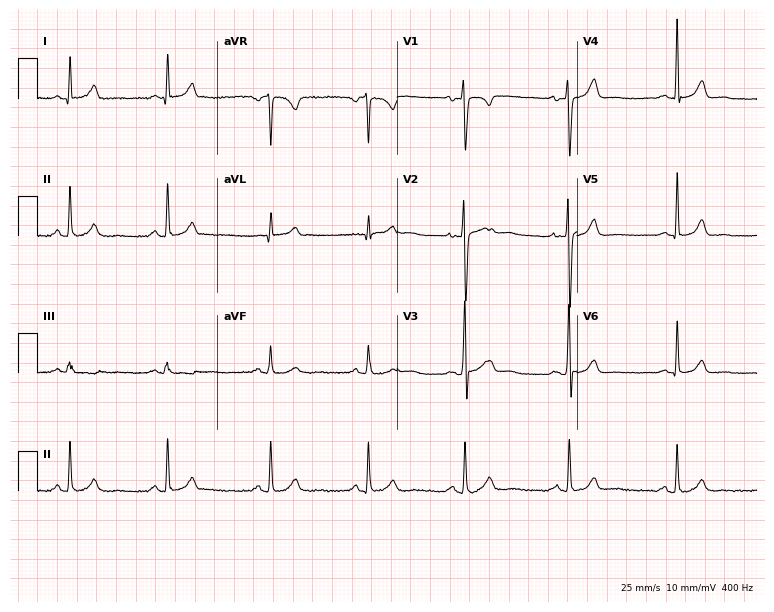
12-lead ECG from a male patient, 36 years old (7.3-second recording at 400 Hz). No first-degree AV block, right bundle branch block, left bundle branch block, sinus bradycardia, atrial fibrillation or sinus tachycardia recorded for this tracing. Only these six findings were labelled.